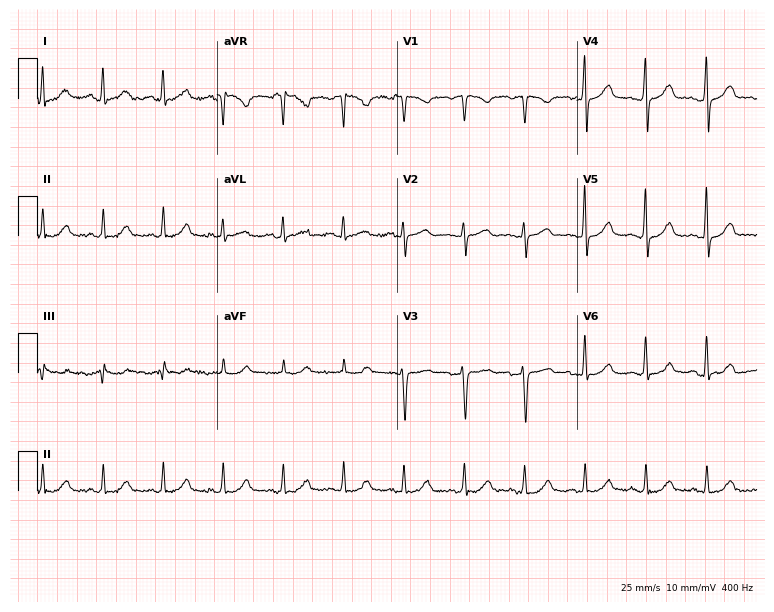
Electrocardiogram, a 51-year-old female. Of the six screened findings (first-degree AV block, right bundle branch block, left bundle branch block, sinus bradycardia, atrial fibrillation, sinus tachycardia), none is recorded.